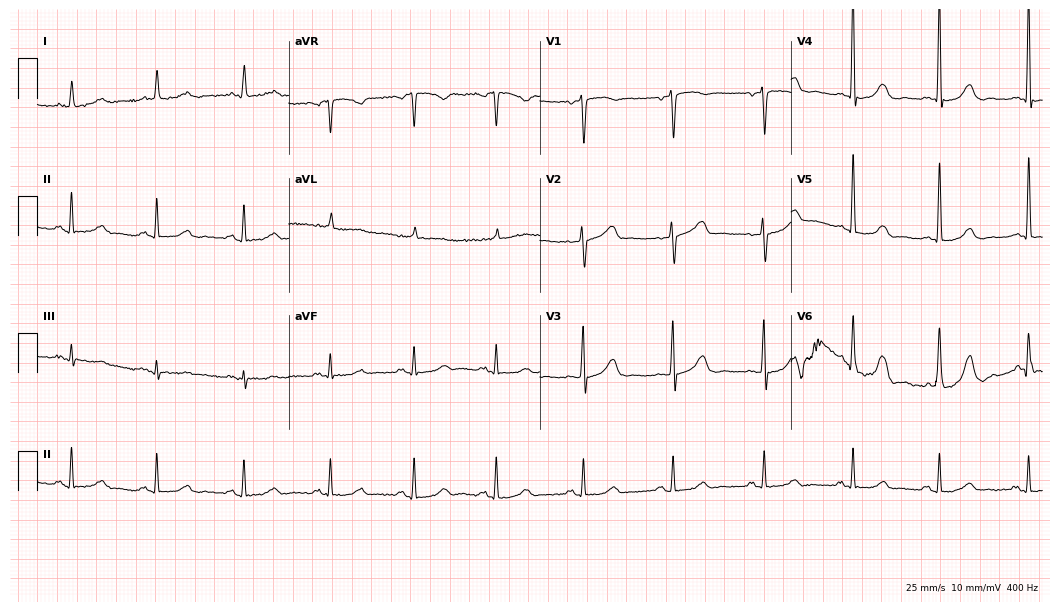
Resting 12-lead electrocardiogram (10.2-second recording at 400 Hz). Patient: a 66-year-old woman. Read as a normal ECG.